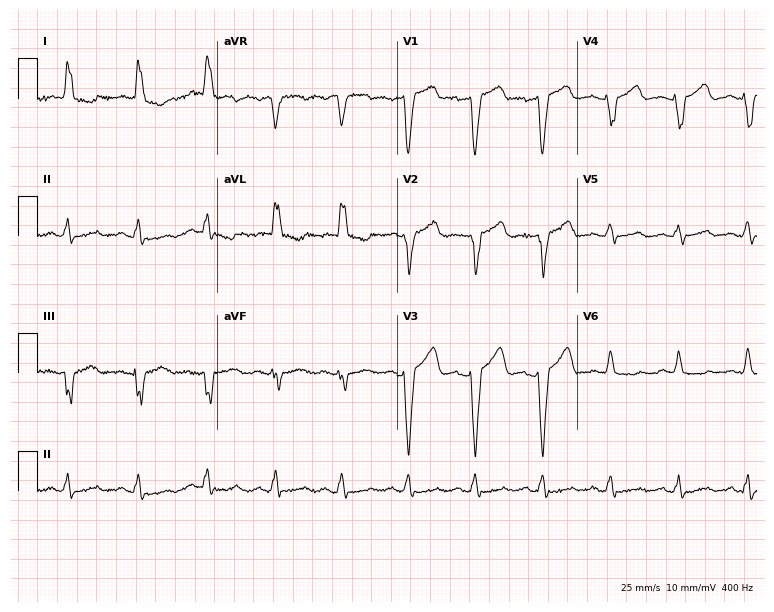
12-lead ECG (7.3-second recording at 400 Hz) from a 77-year-old woman. Findings include left bundle branch block (LBBB).